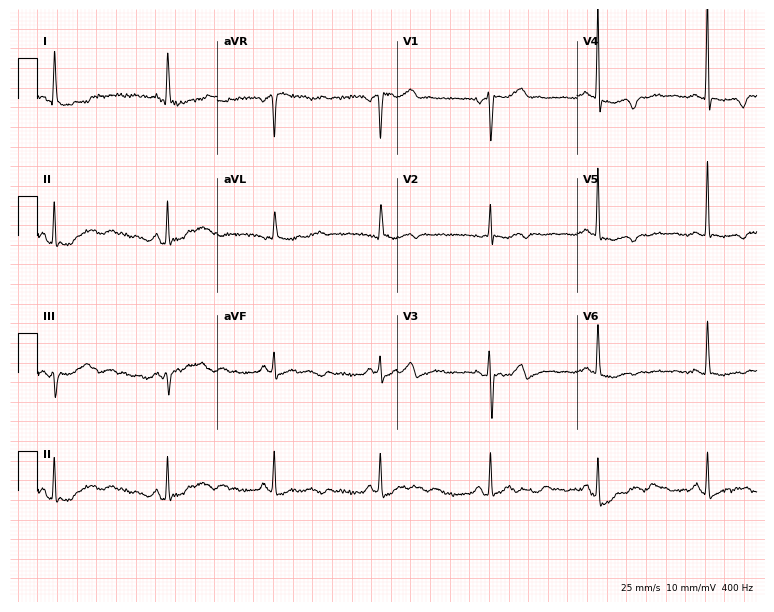
ECG (7.3-second recording at 400 Hz) — a 71-year-old female. Screened for six findings — first-degree AV block, right bundle branch block, left bundle branch block, sinus bradycardia, atrial fibrillation, sinus tachycardia — none is recorded. Only these six findings were labelled.